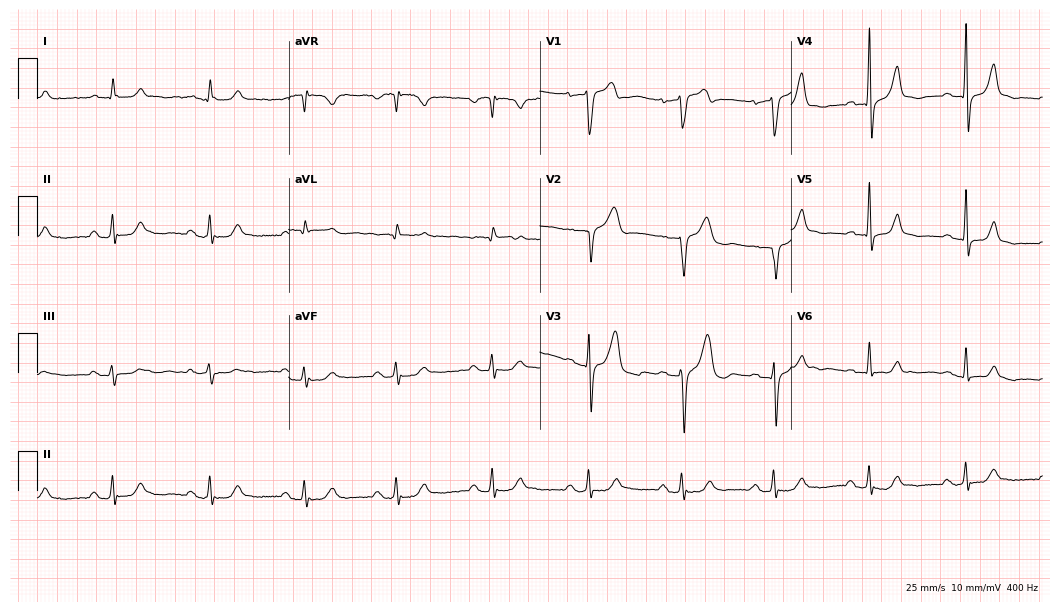
12-lead ECG from a male, 68 years old (10.2-second recording at 400 Hz). Recorded interpretation: within normal limits.